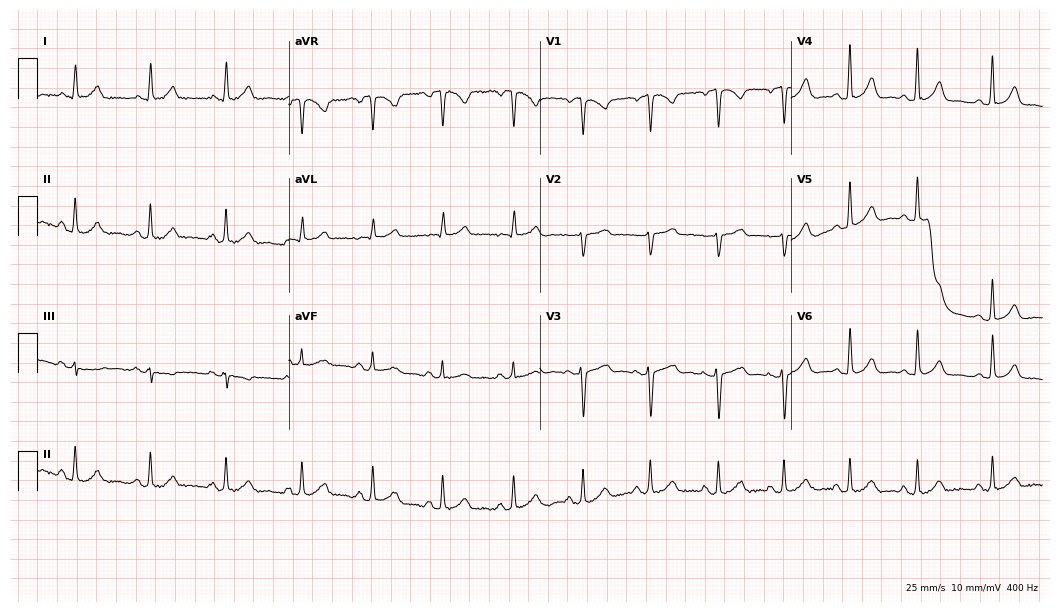
Standard 12-lead ECG recorded from a female patient, 44 years old (10.2-second recording at 400 Hz). Read as a normal ECG.